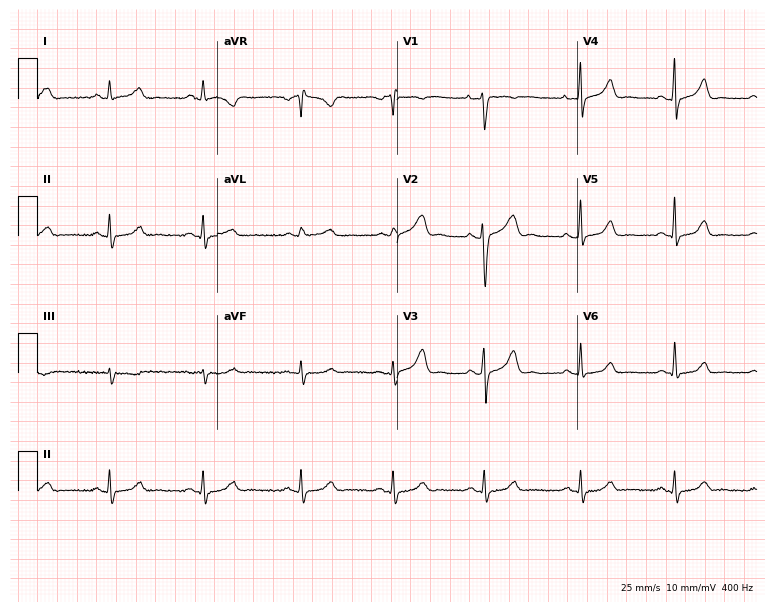
Resting 12-lead electrocardiogram. Patient: a woman, 26 years old. Read as a normal ECG.